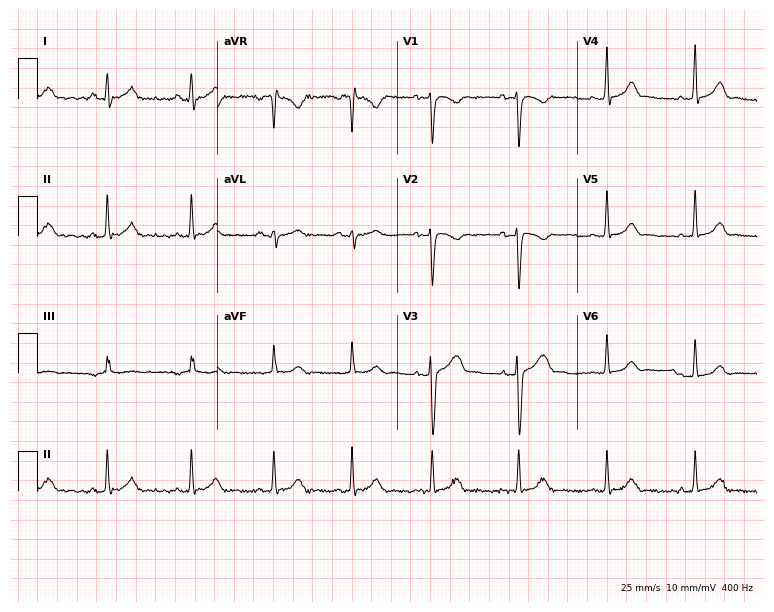
12-lead ECG from a 22-year-old female. Recorded interpretation: within normal limits.